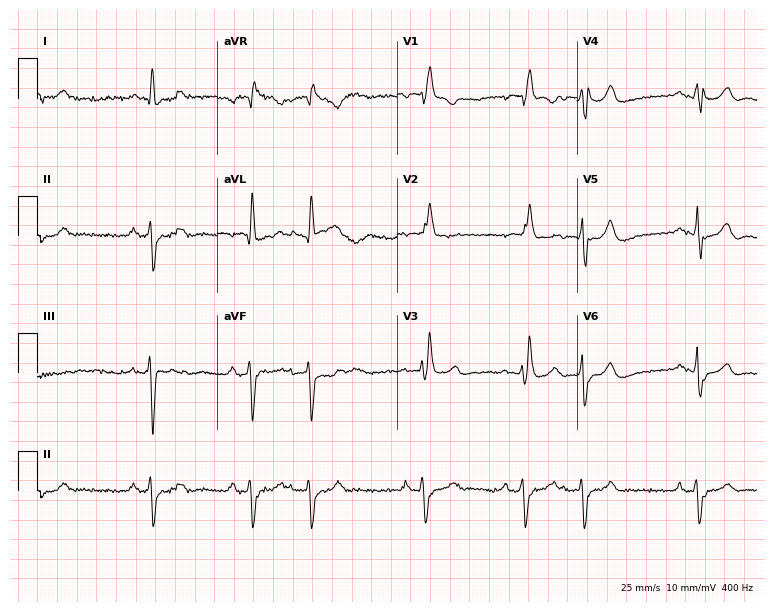
12-lead ECG from an 84-year-old male patient. Shows right bundle branch block (RBBB).